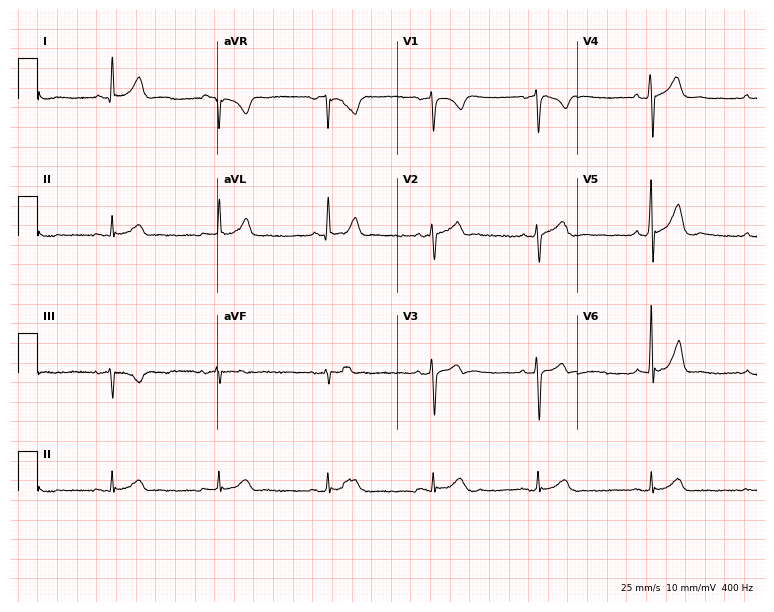
Electrocardiogram (7.3-second recording at 400 Hz), a 61-year-old male patient. Overall reading on record: normal ECG.